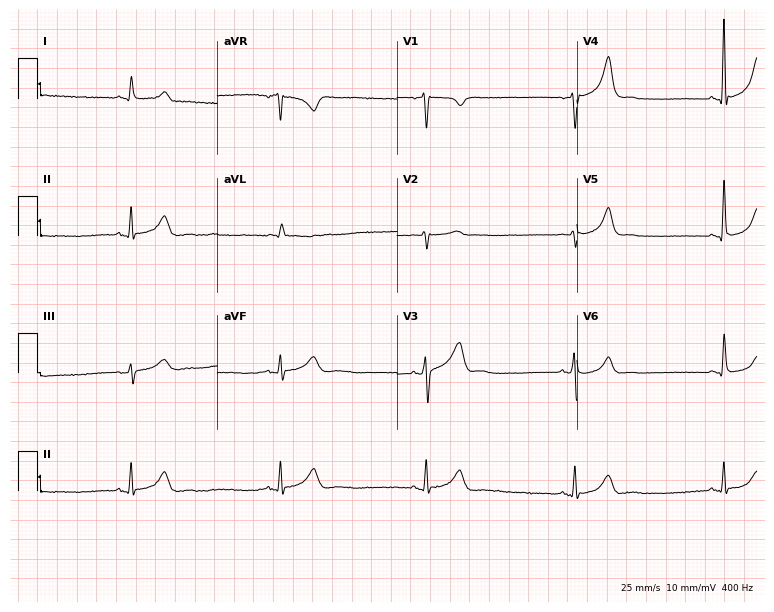
12-lead ECG from a 65-year-old male (7.3-second recording at 400 Hz). No first-degree AV block, right bundle branch block, left bundle branch block, sinus bradycardia, atrial fibrillation or sinus tachycardia recorded for this tracing. Other findings, if any, are not listed.